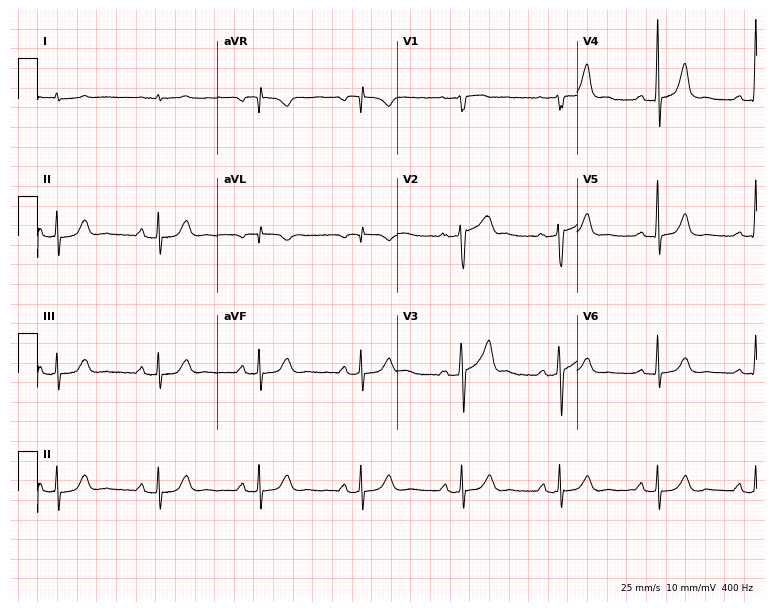
Electrocardiogram (7.3-second recording at 400 Hz), a 69-year-old male. Overall reading on record: normal ECG.